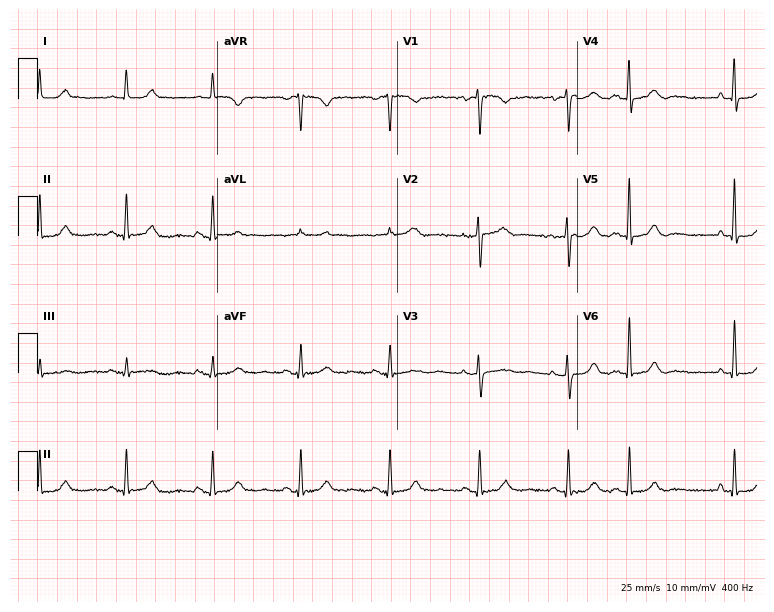
Electrocardiogram, a 75-year-old female. Of the six screened findings (first-degree AV block, right bundle branch block, left bundle branch block, sinus bradycardia, atrial fibrillation, sinus tachycardia), none is recorded.